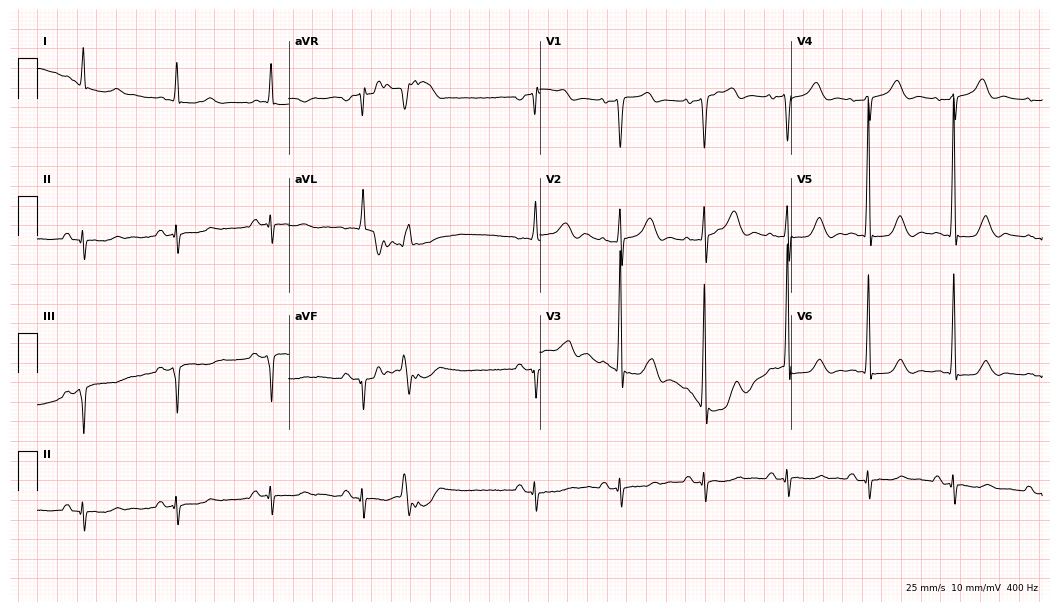
Resting 12-lead electrocardiogram (10.2-second recording at 400 Hz). Patient: a 63-year-old man. None of these six findings is recorded: first-degree AV block, right bundle branch block (RBBB), left bundle branch block (LBBB), sinus bradycardia, atrial fibrillation (AF), sinus tachycardia.